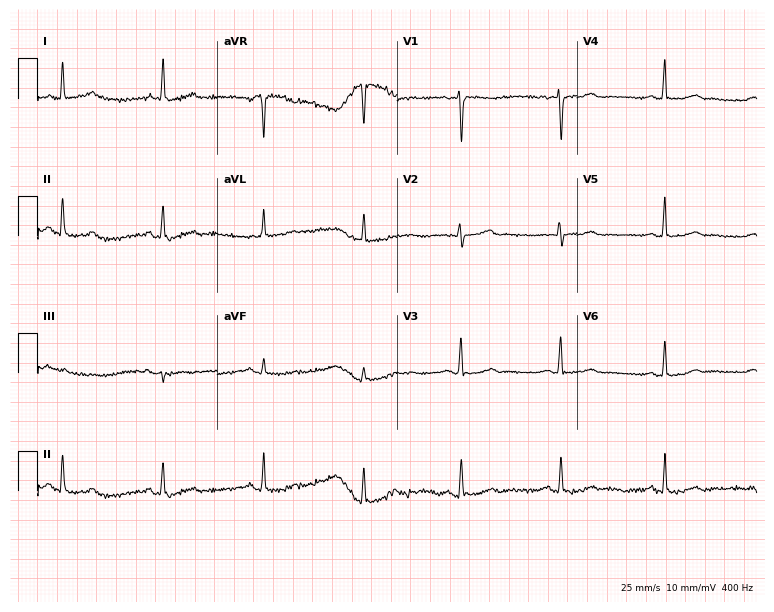
Resting 12-lead electrocardiogram. Patient: a 61-year-old female. None of these six findings is recorded: first-degree AV block, right bundle branch block, left bundle branch block, sinus bradycardia, atrial fibrillation, sinus tachycardia. Findings outside these six are not listed.